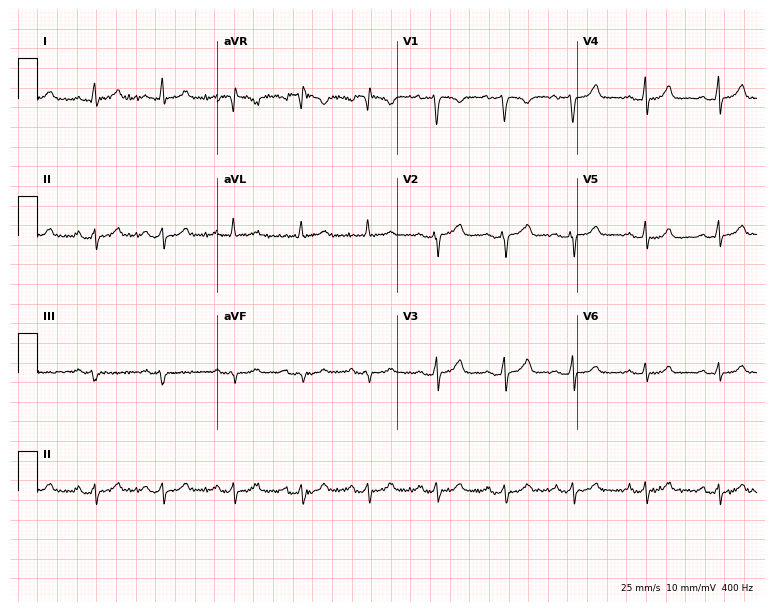
Standard 12-lead ECG recorded from a 35-year-old woman (7.3-second recording at 400 Hz). None of these six findings is recorded: first-degree AV block, right bundle branch block, left bundle branch block, sinus bradycardia, atrial fibrillation, sinus tachycardia.